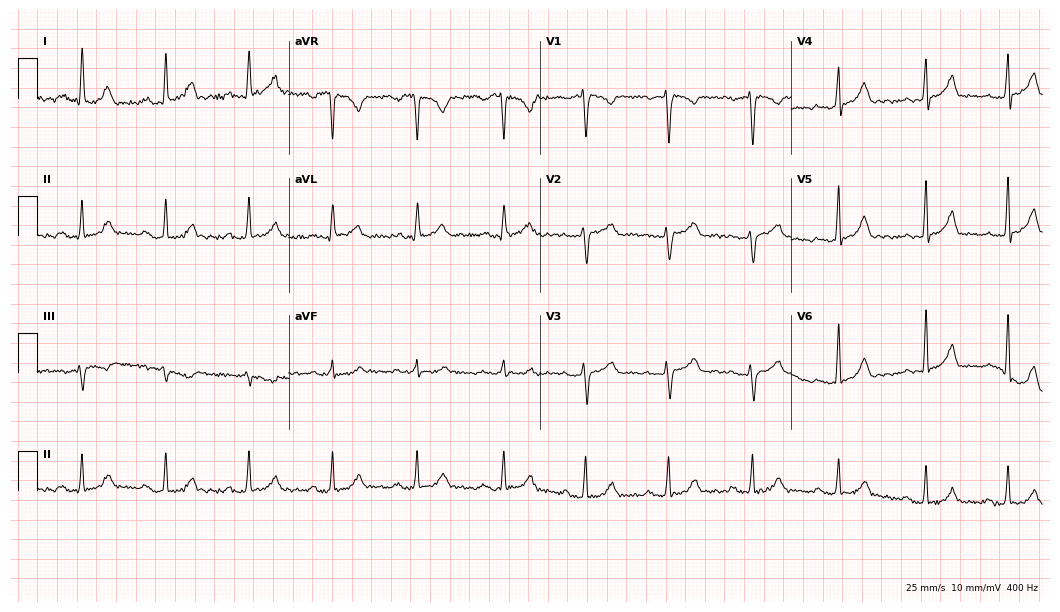
Electrocardiogram, a 40-year-old female patient. Of the six screened findings (first-degree AV block, right bundle branch block, left bundle branch block, sinus bradycardia, atrial fibrillation, sinus tachycardia), none is recorded. Findings outside these six are not listed.